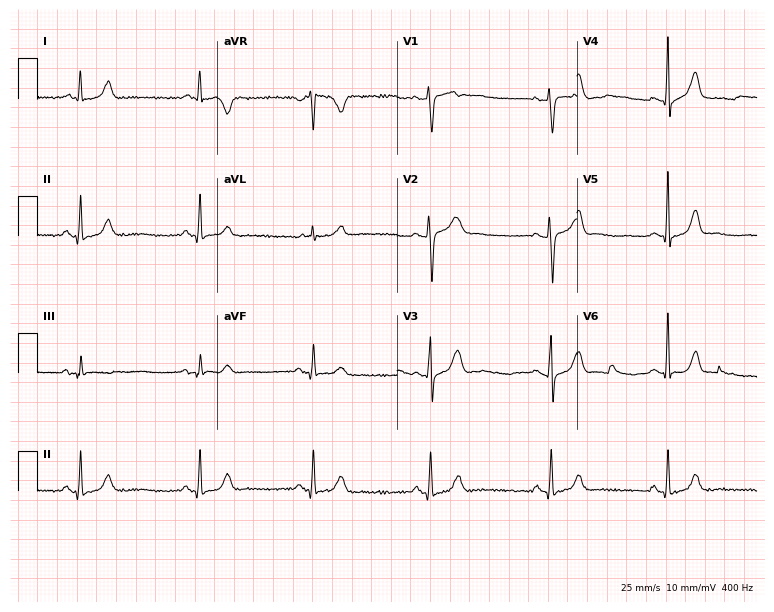
Standard 12-lead ECG recorded from a 54-year-old male patient. Read as a normal ECG.